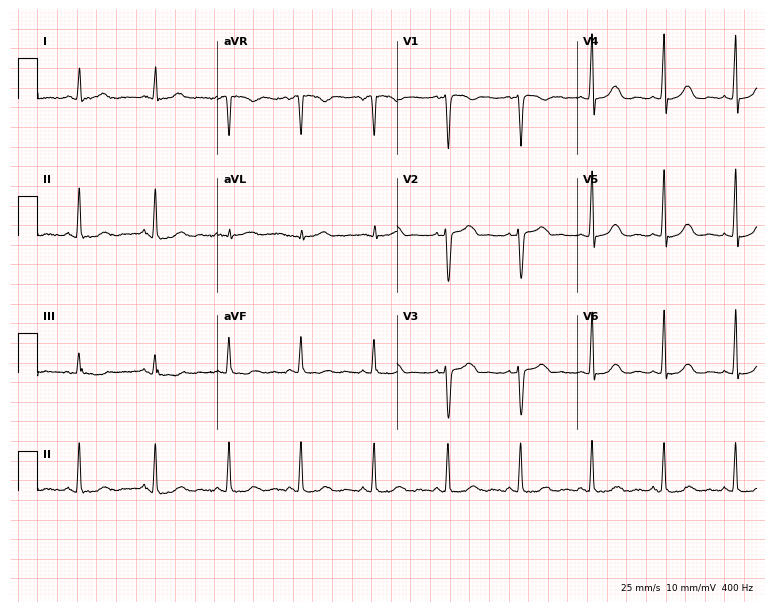
Electrocardiogram (7.3-second recording at 400 Hz), a female patient, 51 years old. Overall reading on record: normal ECG.